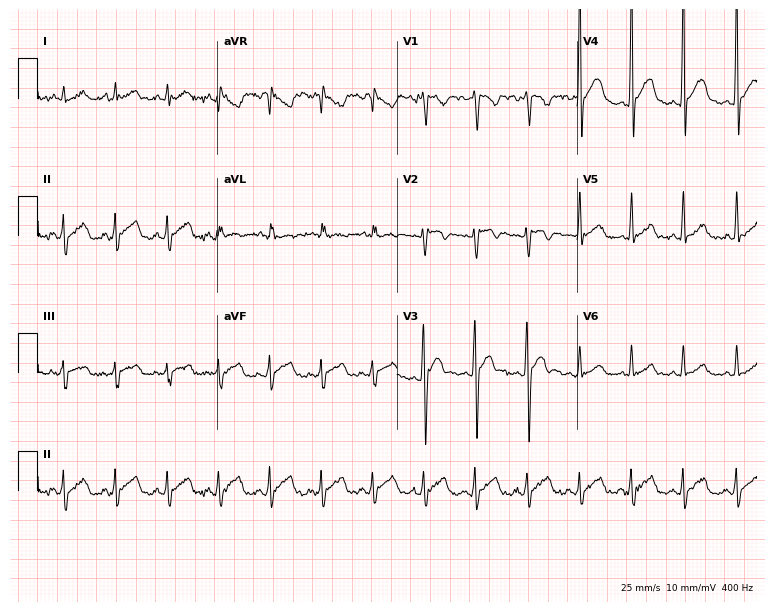
Resting 12-lead electrocardiogram (7.3-second recording at 400 Hz). Patient: a 23-year-old male. The tracing shows sinus tachycardia (a sinus rate of 100 beats per minute or more).